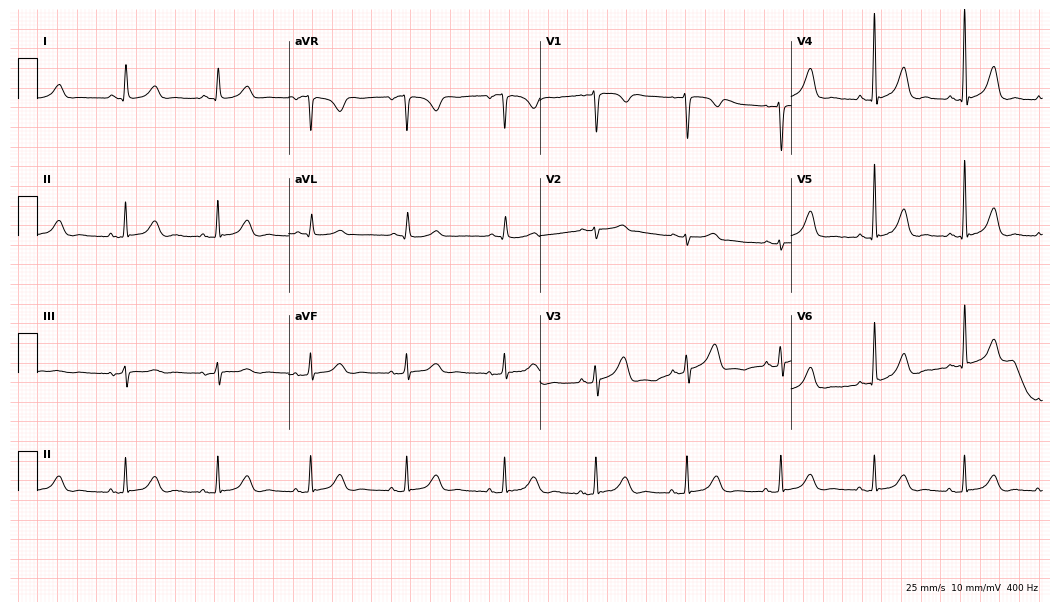
ECG — a woman, 57 years old. Labelled as a normal ECG.